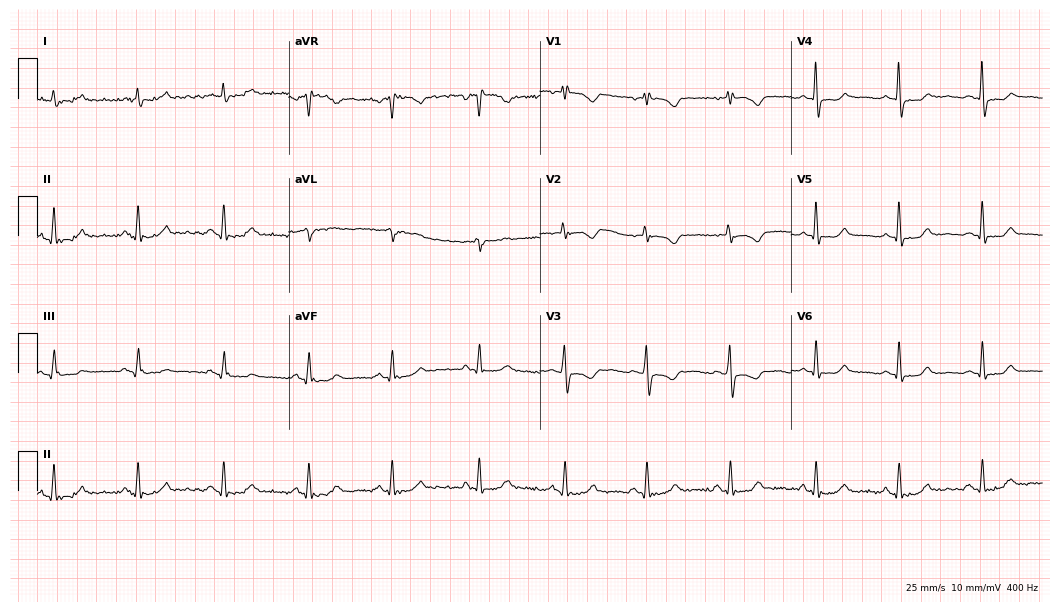
ECG — a 47-year-old woman. Labelled as a normal ECG.